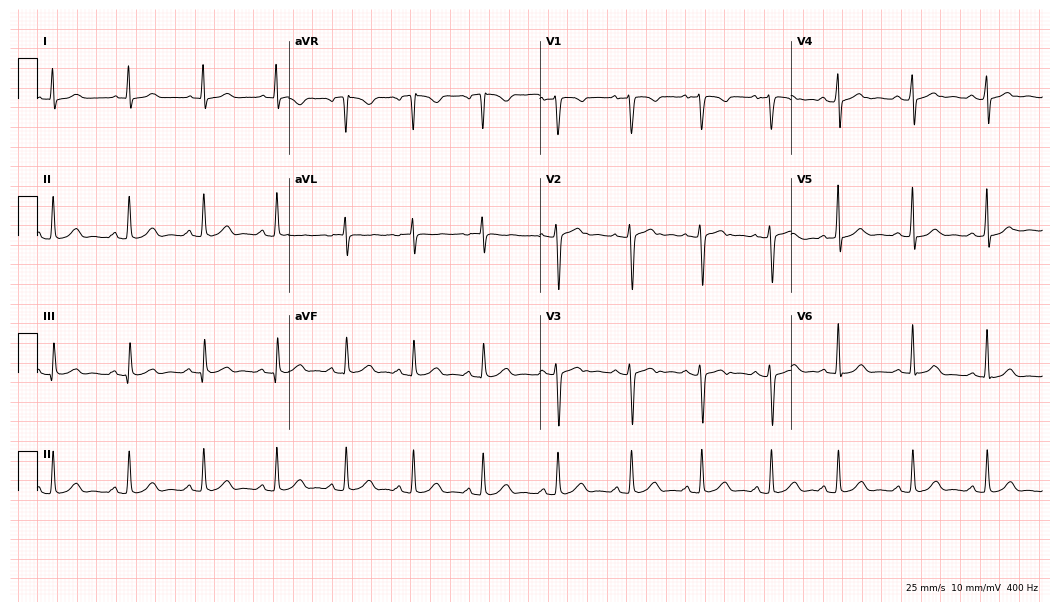
ECG (10.2-second recording at 400 Hz) — a 63-year-old woman. Labelled as a normal ECG.